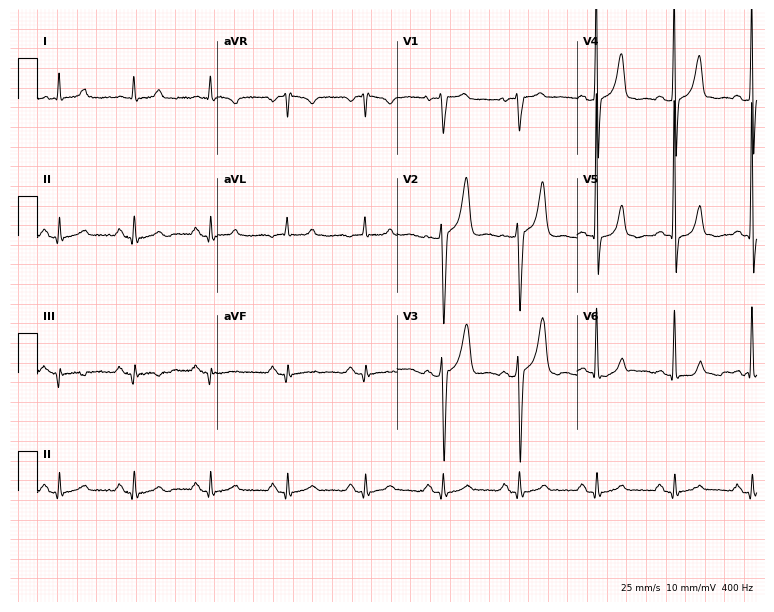
Standard 12-lead ECG recorded from a male, 65 years old. None of these six findings is recorded: first-degree AV block, right bundle branch block, left bundle branch block, sinus bradycardia, atrial fibrillation, sinus tachycardia. Other findings, if any, are not listed.